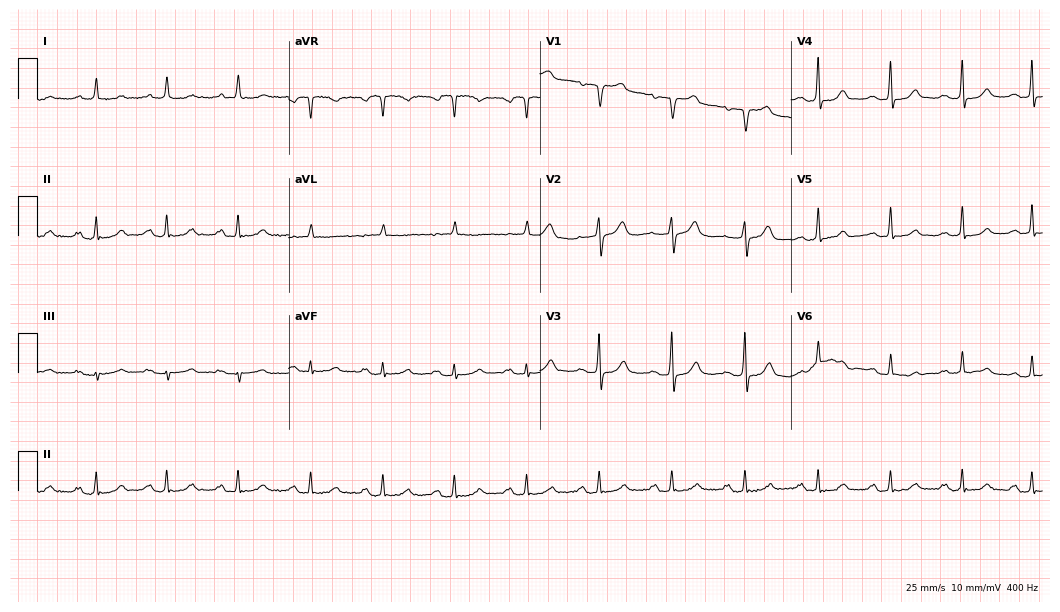
Resting 12-lead electrocardiogram (10.2-second recording at 400 Hz). Patient: a 57-year-old woman. Read as a normal ECG.